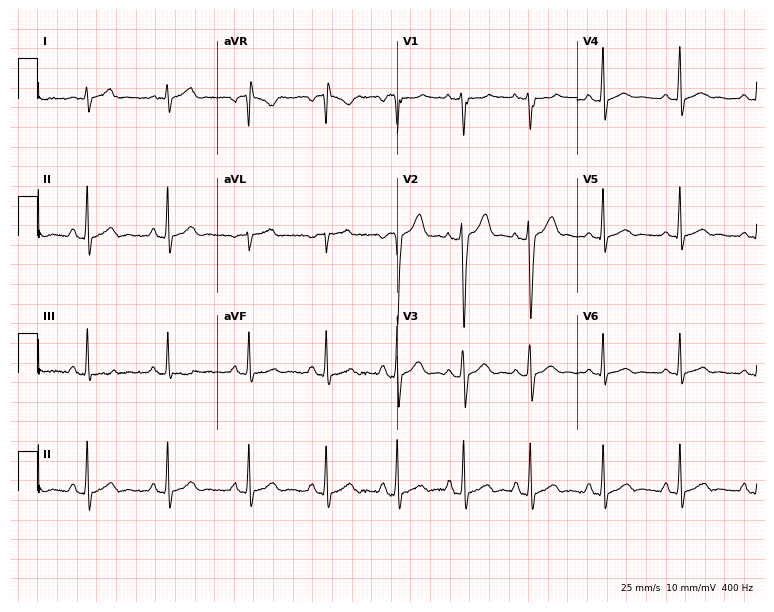
ECG — a male, 22 years old. Labelled as a normal ECG.